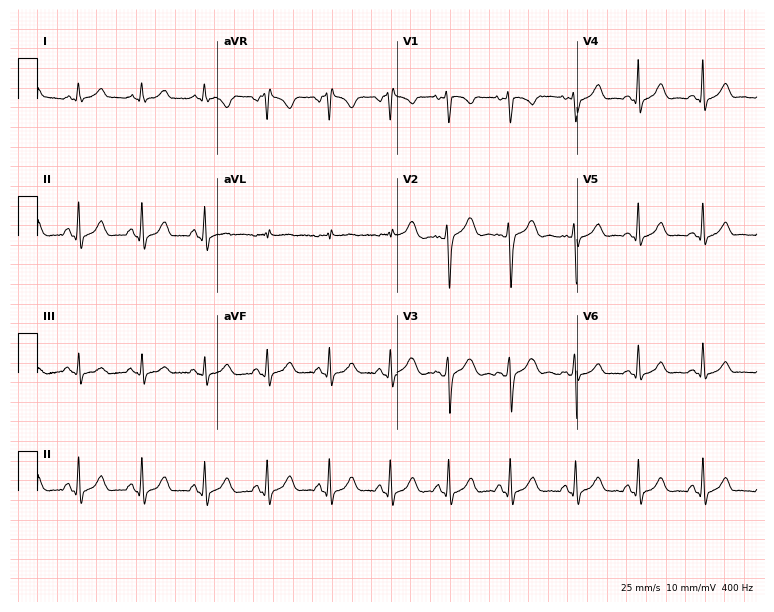
Resting 12-lead electrocardiogram (7.3-second recording at 400 Hz). Patient: a woman, 18 years old. None of these six findings is recorded: first-degree AV block, right bundle branch block, left bundle branch block, sinus bradycardia, atrial fibrillation, sinus tachycardia.